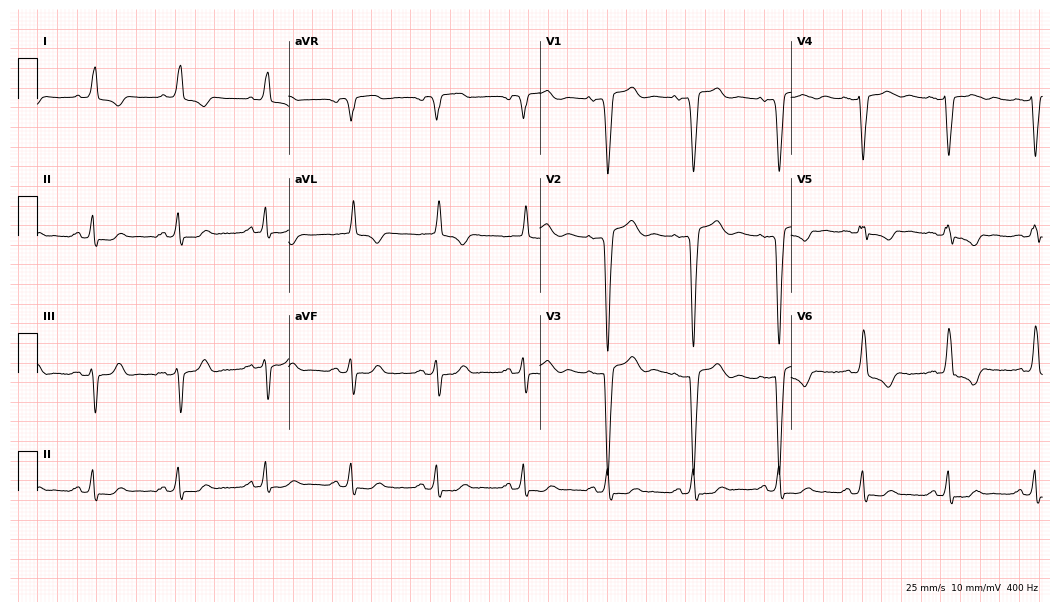
Standard 12-lead ECG recorded from a 75-year-old male. The tracing shows left bundle branch block.